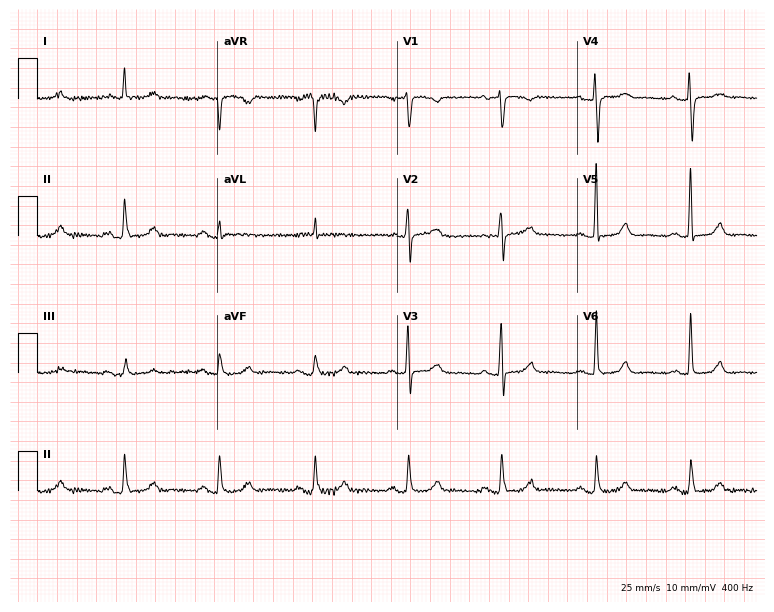
12-lead ECG from a 78-year-old female. Recorded interpretation: within normal limits.